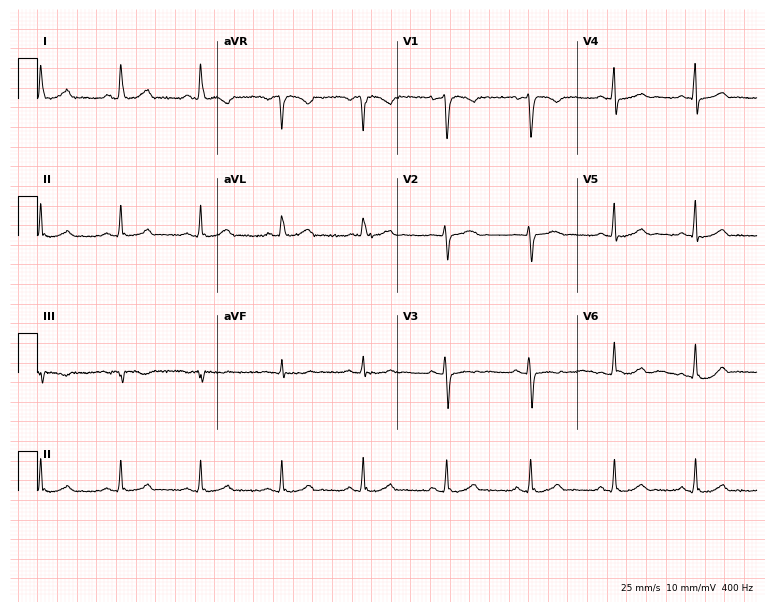
12-lead ECG from a 44-year-old female patient. No first-degree AV block, right bundle branch block (RBBB), left bundle branch block (LBBB), sinus bradycardia, atrial fibrillation (AF) or sinus tachycardia recorded for this tracing. Findings outside these six are not listed.